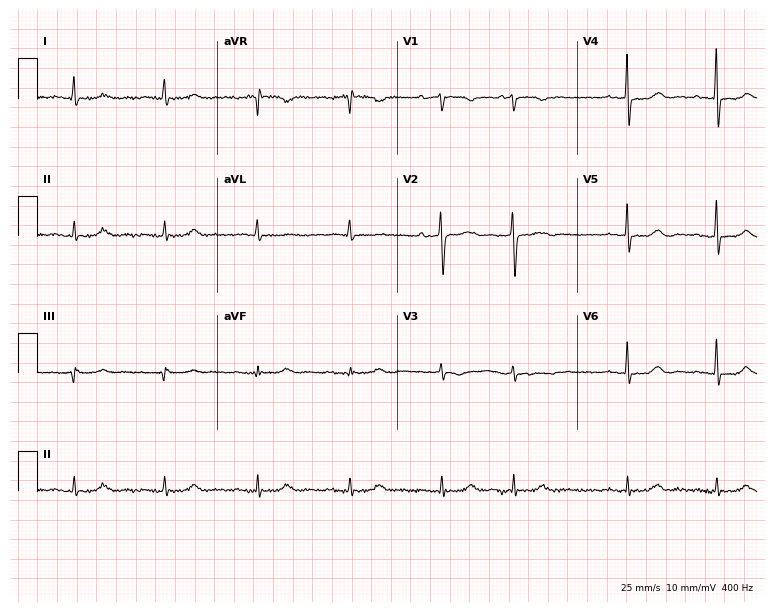
Resting 12-lead electrocardiogram. Patient: a female, 76 years old. None of these six findings is recorded: first-degree AV block, right bundle branch block (RBBB), left bundle branch block (LBBB), sinus bradycardia, atrial fibrillation (AF), sinus tachycardia. Only these six findings were labelled.